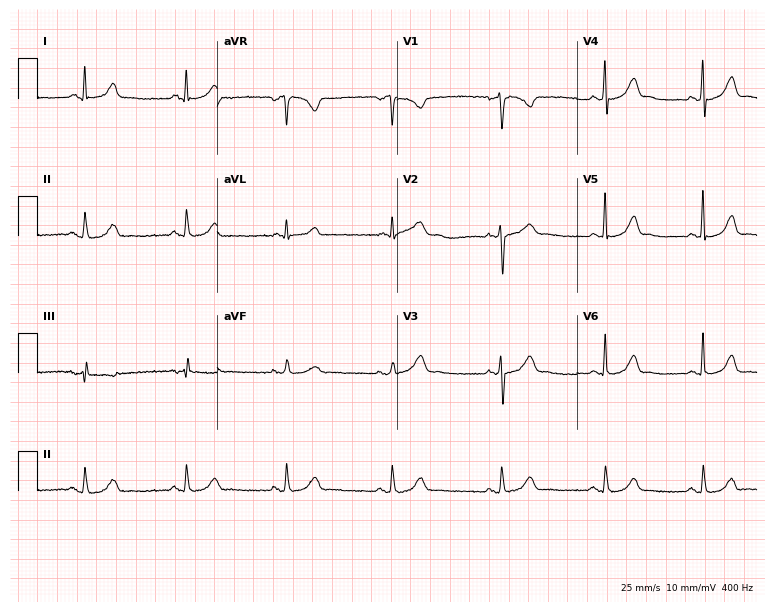
ECG (7.3-second recording at 400 Hz) — a female patient, 38 years old. Labelled as a normal ECG.